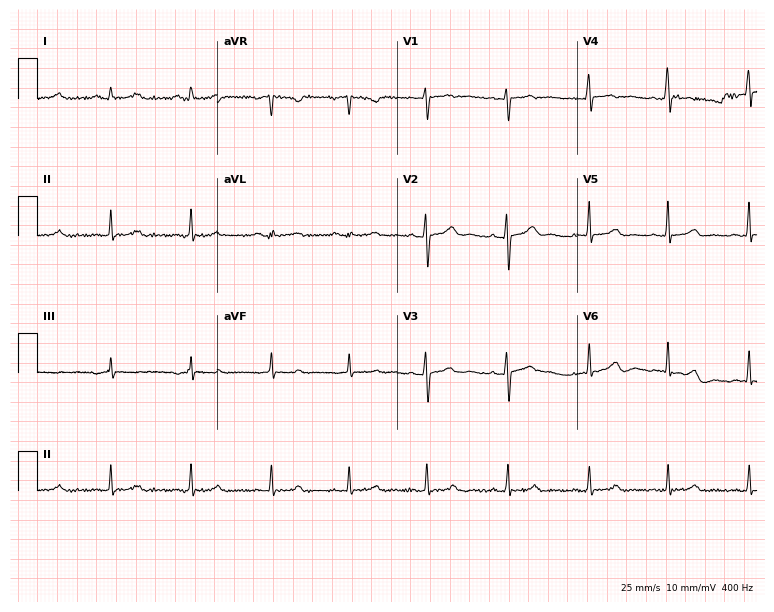
12-lead ECG from a 25-year-old female. Recorded interpretation: within normal limits.